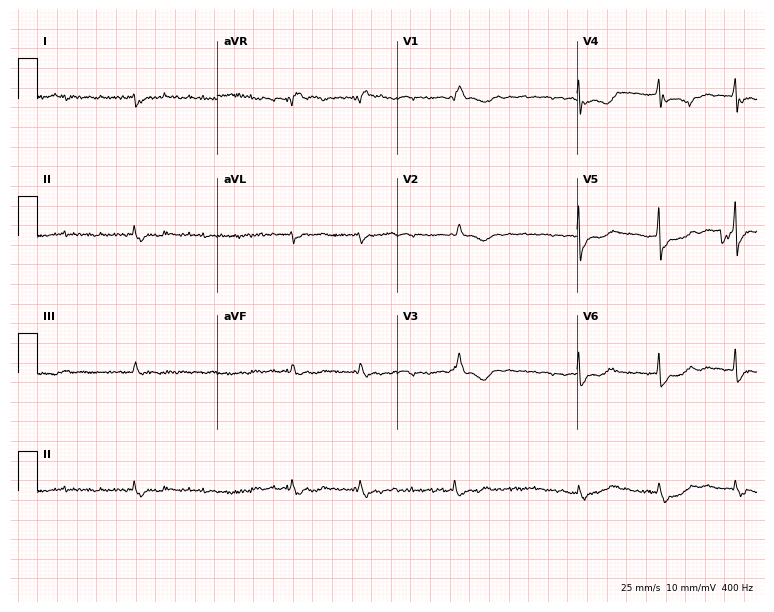
ECG — a 78-year-old female. Findings include right bundle branch block, atrial fibrillation.